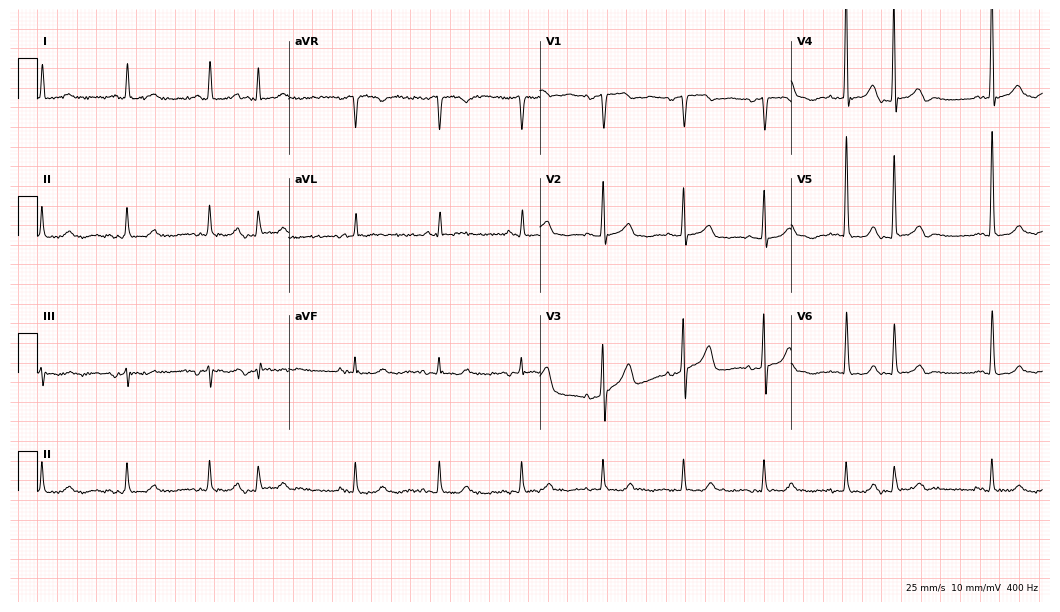
Resting 12-lead electrocardiogram (10.2-second recording at 400 Hz). Patient: a woman, 80 years old. None of these six findings is recorded: first-degree AV block, right bundle branch block (RBBB), left bundle branch block (LBBB), sinus bradycardia, atrial fibrillation (AF), sinus tachycardia. Only these six findings were labelled.